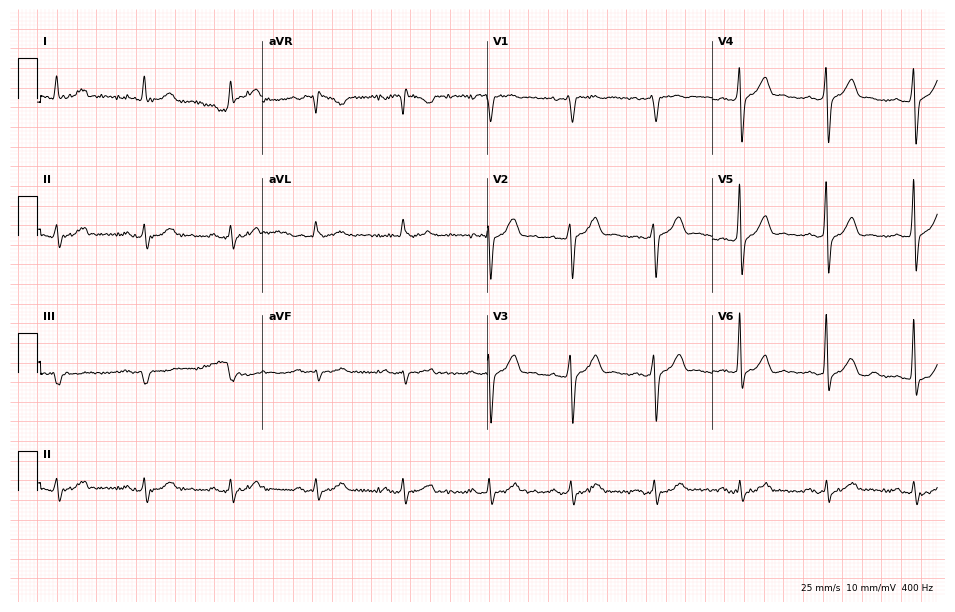
Electrocardiogram, a male, 69 years old. Of the six screened findings (first-degree AV block, right bundle branch block, left bundle branch block, sinus bradycardia, atrial fibrillation, sinus tachycardia), none is recorded. Other findings, if any, are not listed.